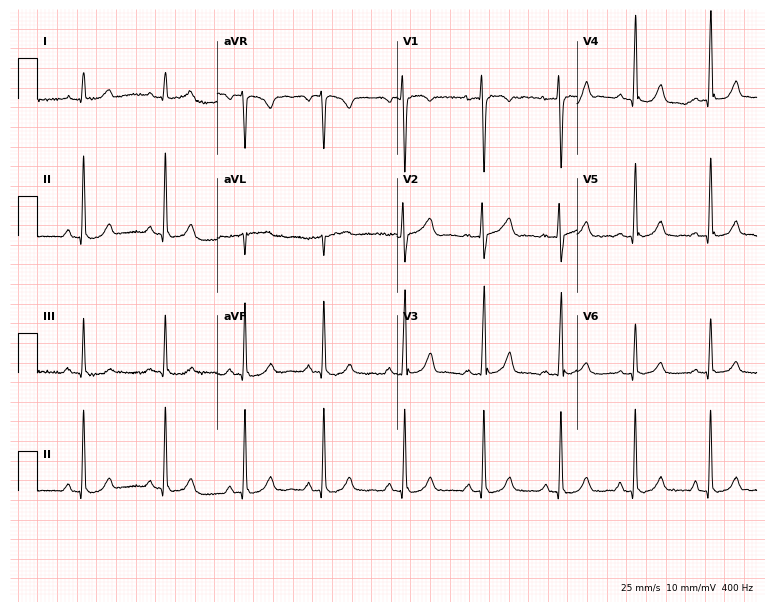
12-lead ECG from a 26-year-old woman. Labelled as a normal ECG.